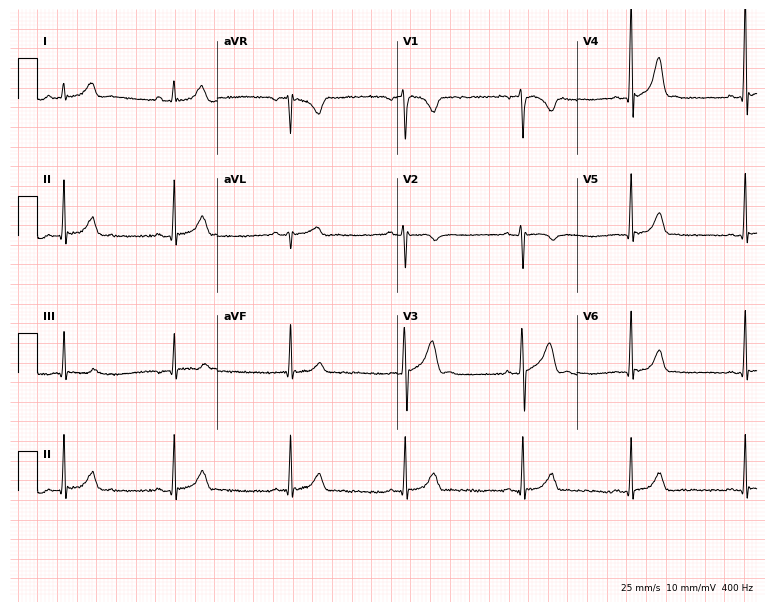
12-lead ECG from a male, 17 years old. Screened for six findings — first-degree AV block, right bundle branch block, left bundle branch block, sinus bradycardia, atrial fibrillation, sinus tachycardia — none is recorded. Only these six findings were labelled.